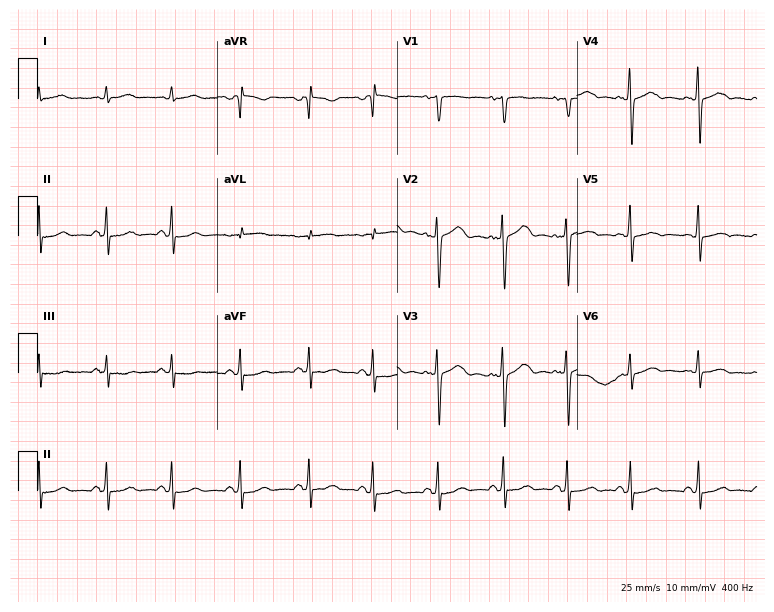
12-lead ECG from a female, 49 years old (7.3-second recording at 400 Hz). No first-degree AV block, right bundle branch block, left bundle branch block, sinus bradycardia, atrial fibrillation or sinus tachycardia recorded for this tracing.